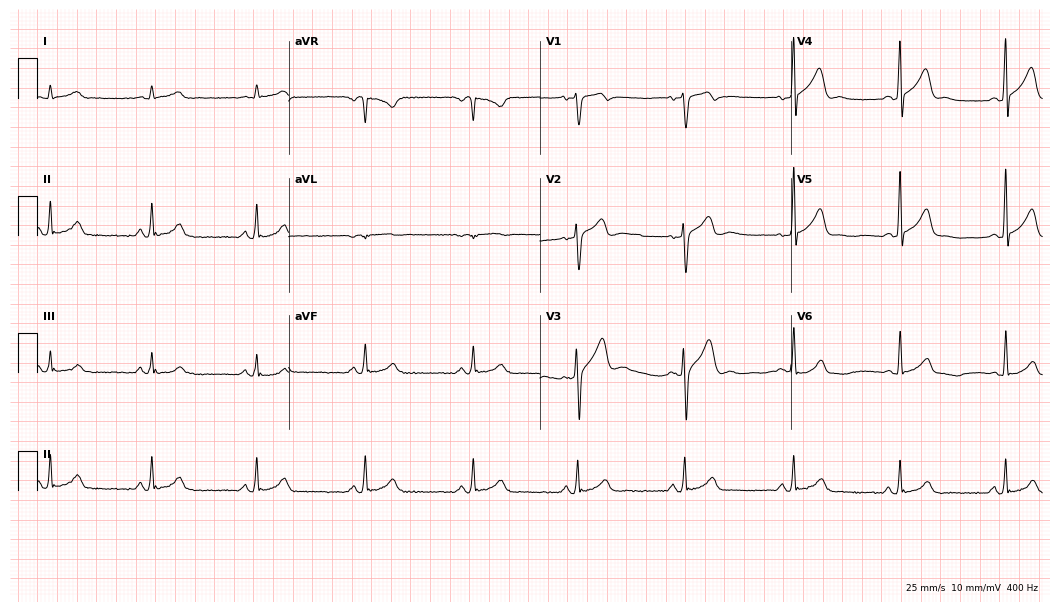
12-lead ECG from a 55-year-old male. No first-degree AV block, right bundle branch block (RBBB), left bundle branch block (LBBB), sinus bradycardia, atrial fibrillation (AF) or sinus tachycardia recorded for this tracing. Only these six findings were labelled.